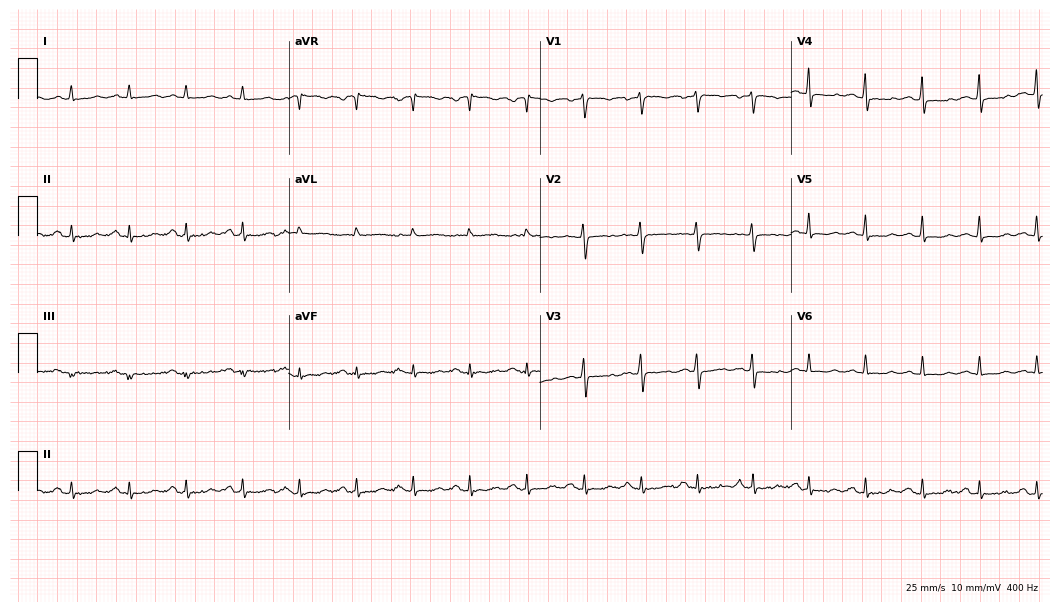
12-lead ECG from a 33-year-old female patient. Shows sinus tachycardia (a sinus rate of 100 beats per minute or more).